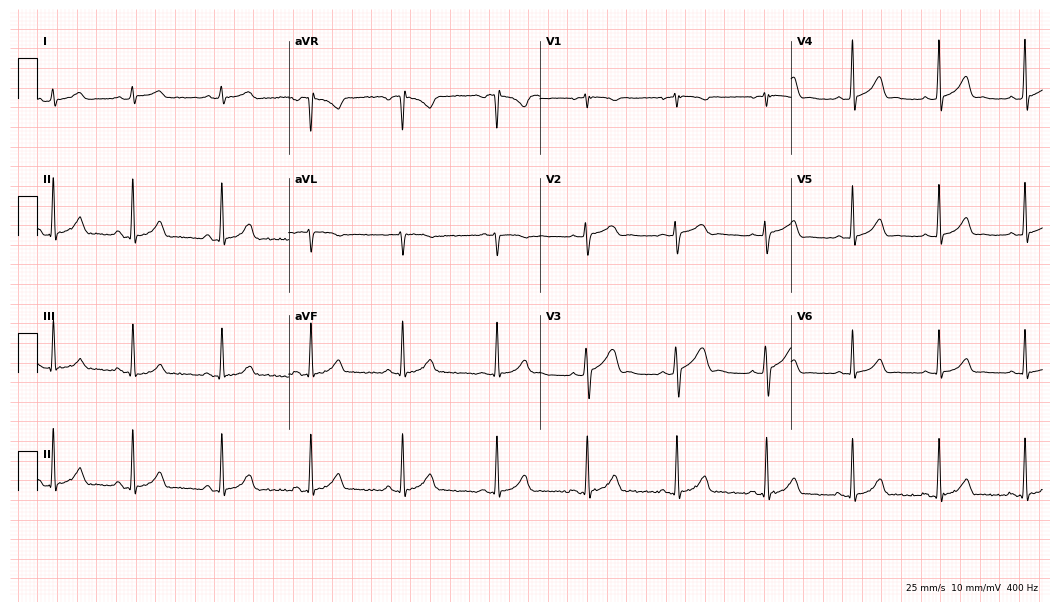
12-lead ECG (10.2-second recording at 400 Hz) from a female, 26 years old. Labelled as a normal ECG.